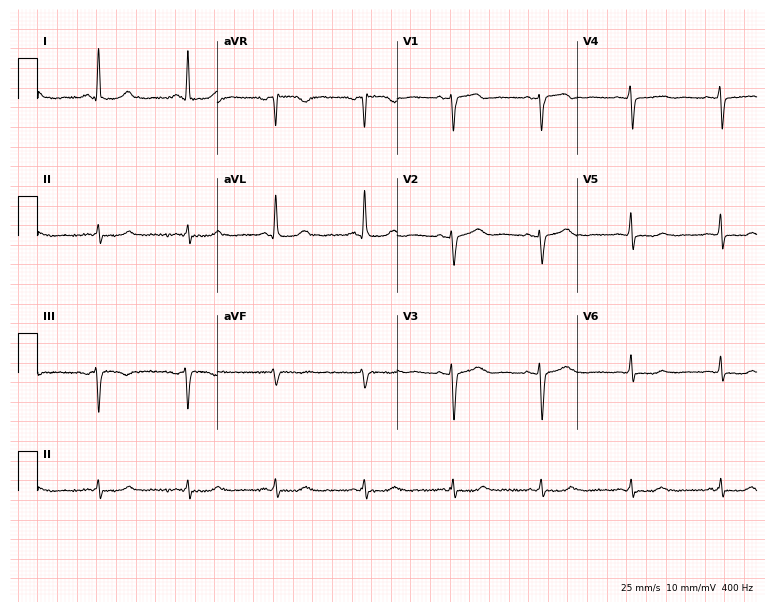
Resting 12-lead electrocardiogram (7.3-second recording at 400 Hz). Patient: a 64-year-old female. None of these six findings is recorded: first-degree AV block, right bundle branch block, left bundle branch block, sinus bradycardia, atrial fibrillation, sinus tachycardia. Only these six findings were labelled.